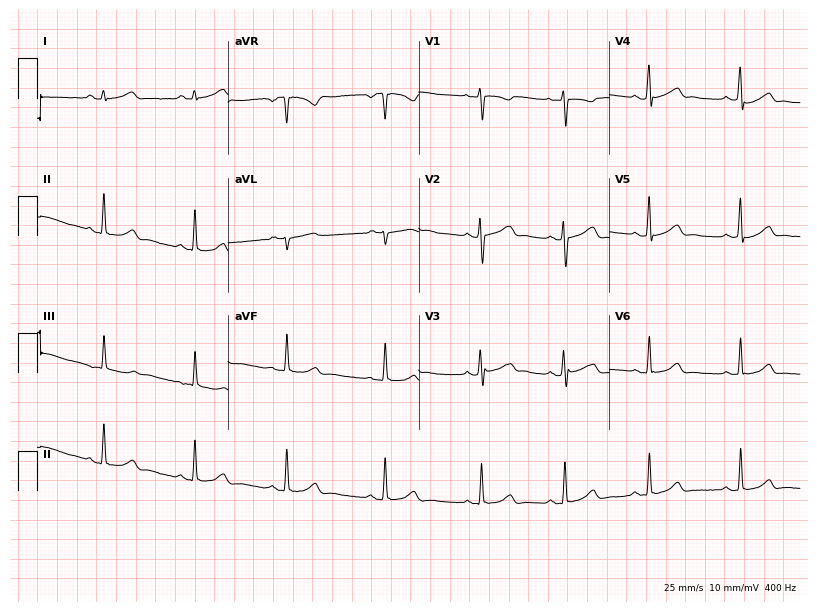
12-lead ECG (7.8-second recording at 400 Hz) from a female patient, 17 years old. Labelled as a normal ECG.